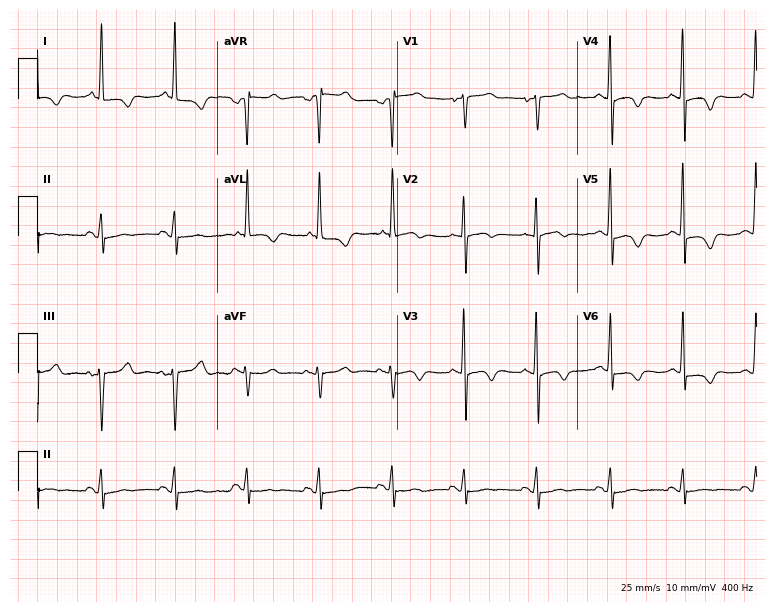
12-lead ECG (7.3-second recording at 400 Hz) from a female patient, 67 years old. Screened for six findings — first-degree AV block, right bundle branch block, left bundle branch block, sinus bradycardia, atrial fibrillation, sinus tachycardia — none is recorded. Other findings, if any, are not listed.